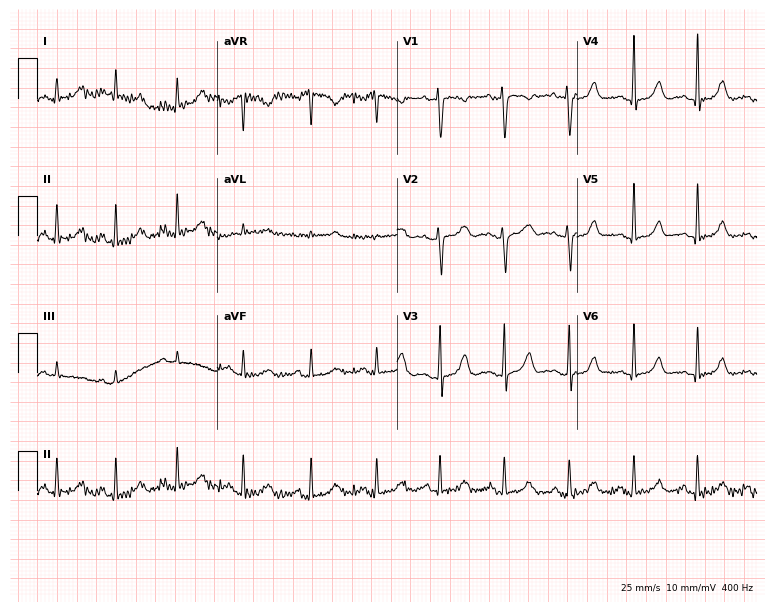
Electrocardiogram (7.3-second recording at 400 Hz), a female patient, 38 years old. Of the six screened findings (first-degree AV block, right bundle branch block, left bundle branch block, sinus bradycardia, atrial fibrillation, sinus tachycardia), none is recorded.